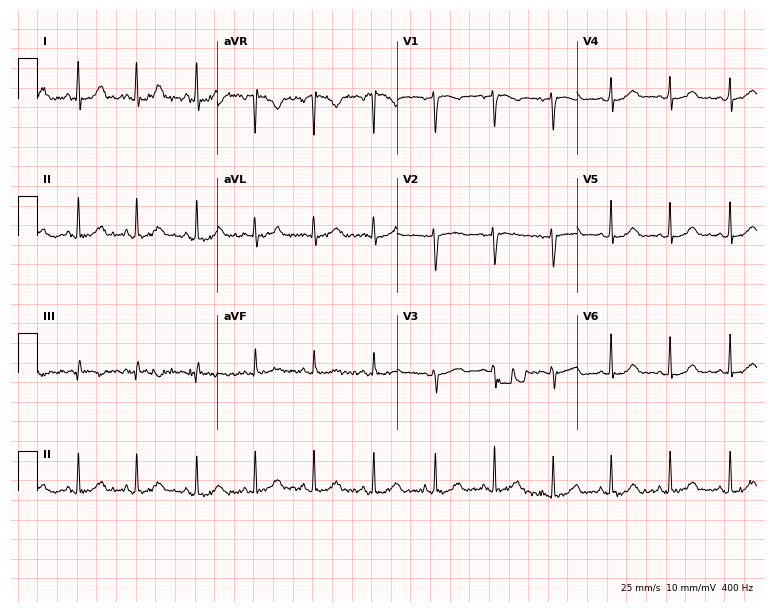
12-lead ECG from a 43-year-old woman (7.3-second recording at 400 Hz). Recorded interpretation: within normal limits.